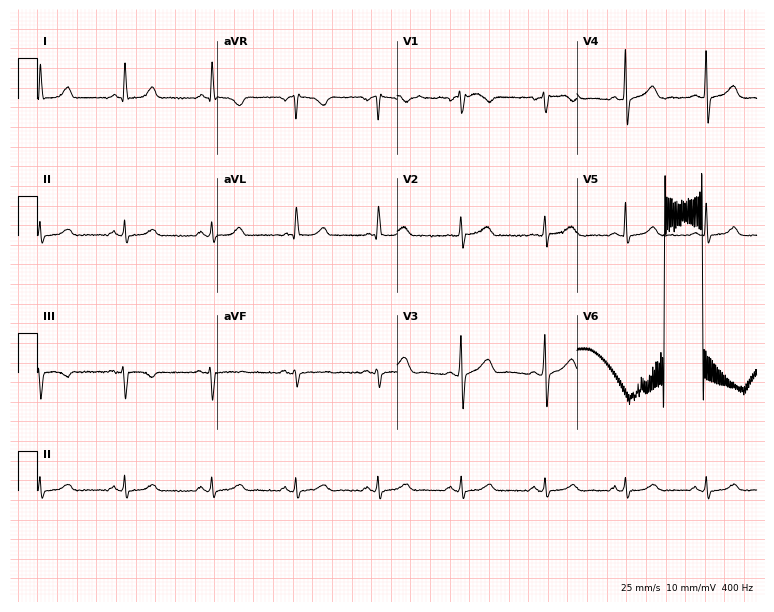
ECG (7.3-second recording at 400 Hz) — a 48-year-old female. Labelled as a normal ECG.